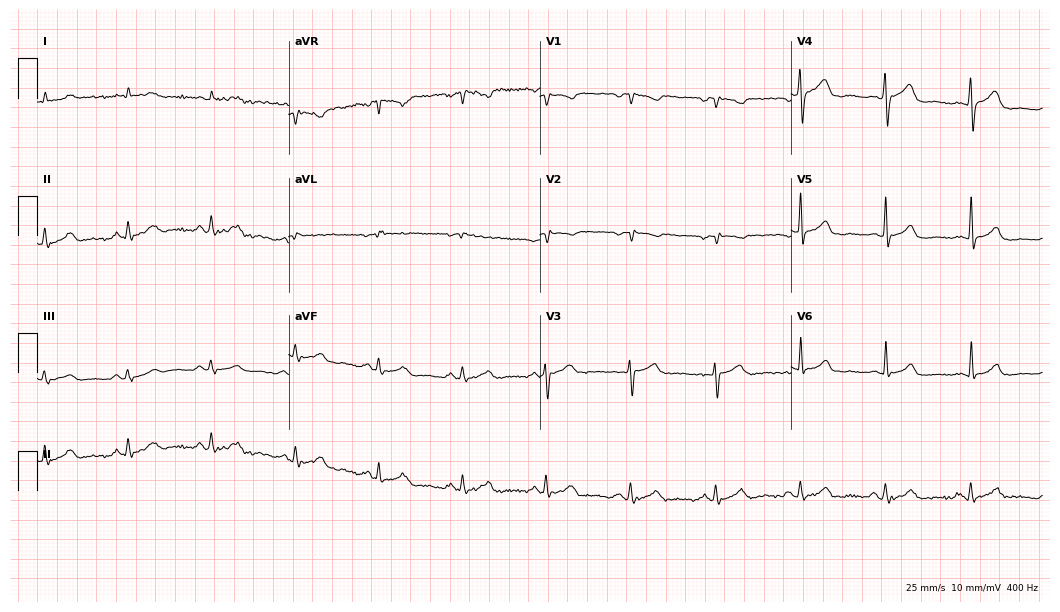
Electrocardiogram (10.2-second recording at 400 Hz), a man, 51 years old. Of the six screened findings (first-degree AV block, right bundle branch block (RBBB), left bundle branch block (LBBB), sinus bradycardia, atrial fibrillation (AF), sinus tachycardia), none is recorded. Findings outside these six are not listed.